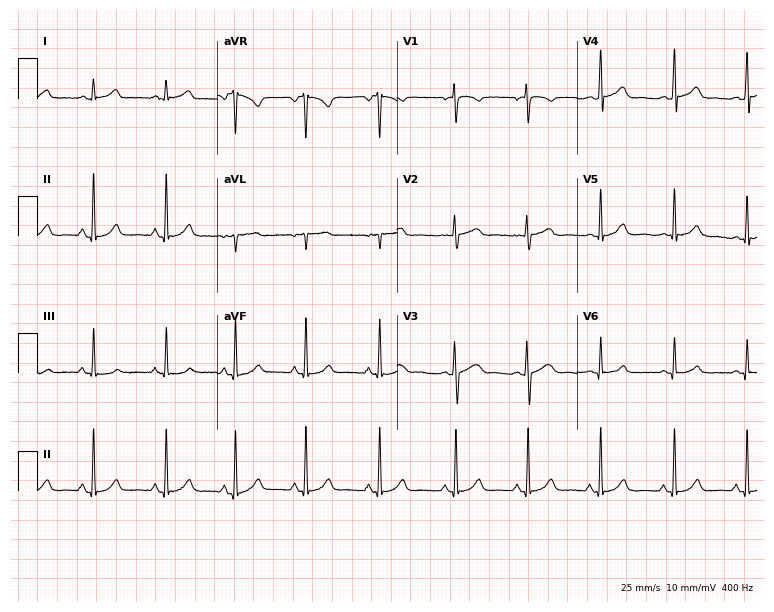
Electrocardiogram, a female patient, 29 years old. Overall reading on record: normal ECG.